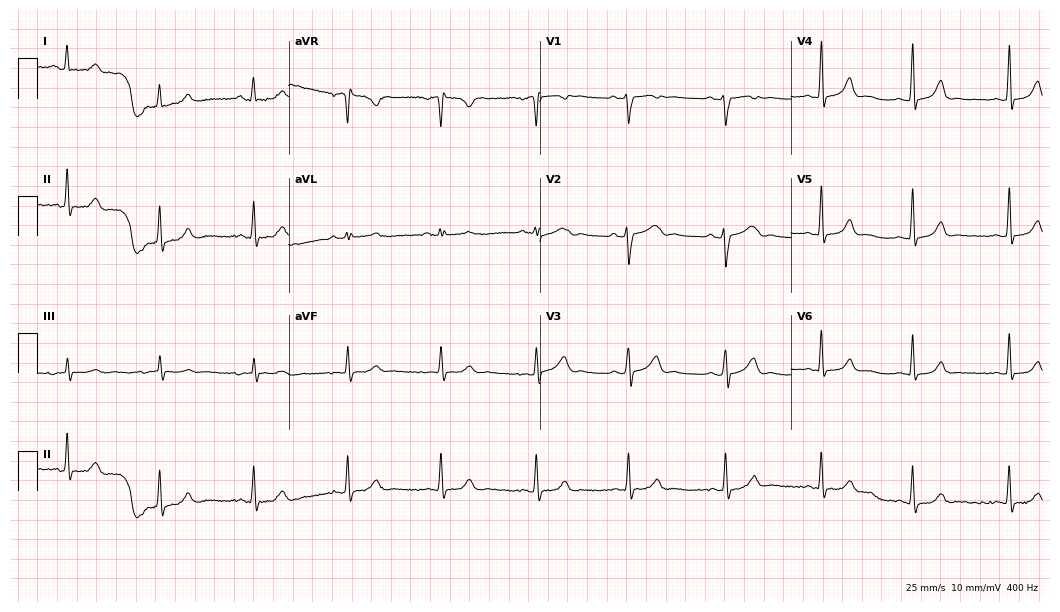
12-lead ECG from a 26-year-old female patient (10.2-second recording at 400 Hz). Recorded interpretation: within normal limits.